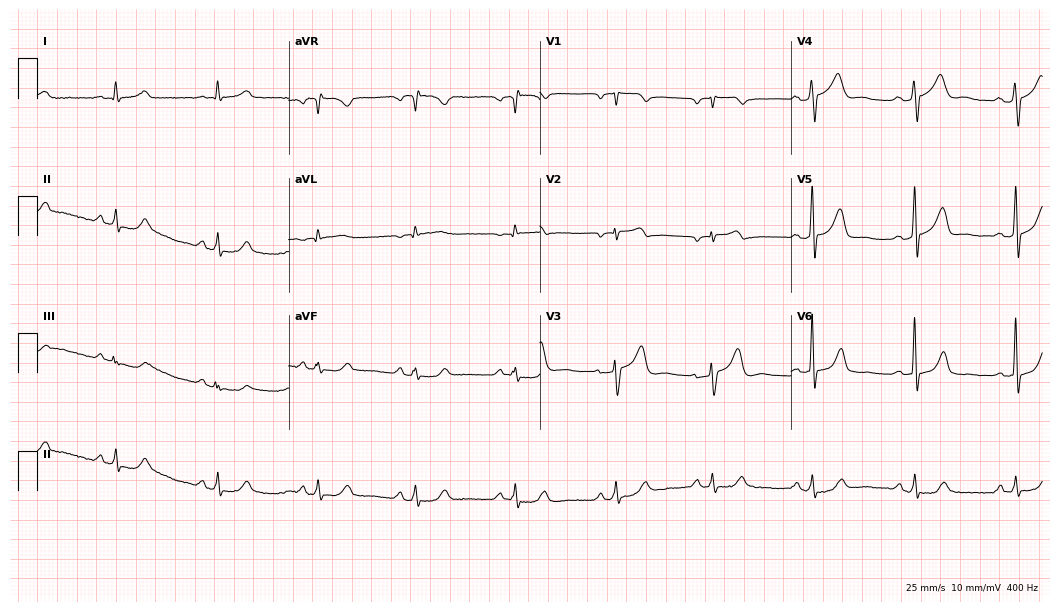
Electrocardiogram (10.2-second recording at 400 Hz), a 57-year-old male. Overall reading on record: normal ECG.